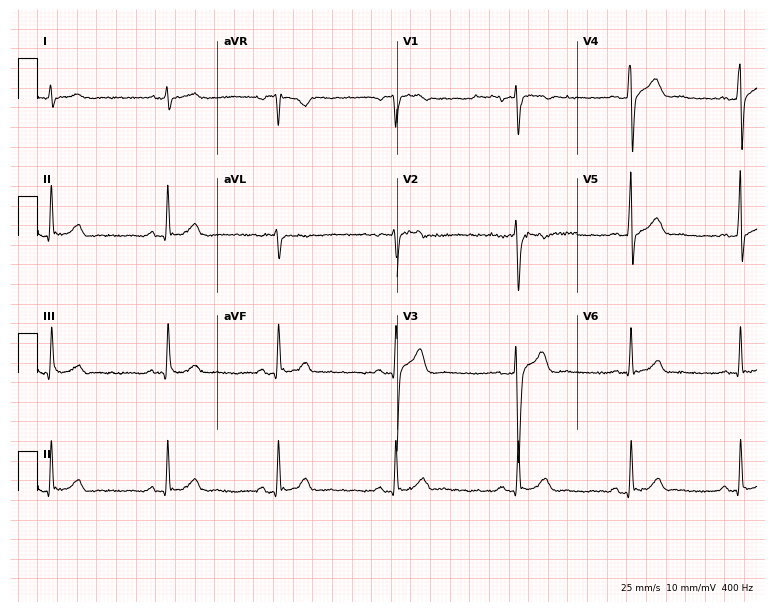
Electrocardiogram, a male, 31 years old. Of the six screened findings (first-degree AV block, right bundle branch block, left bundle branch block, sinus bradycardia, atrial fibrillation, sinus tachycardia), none is recorded.